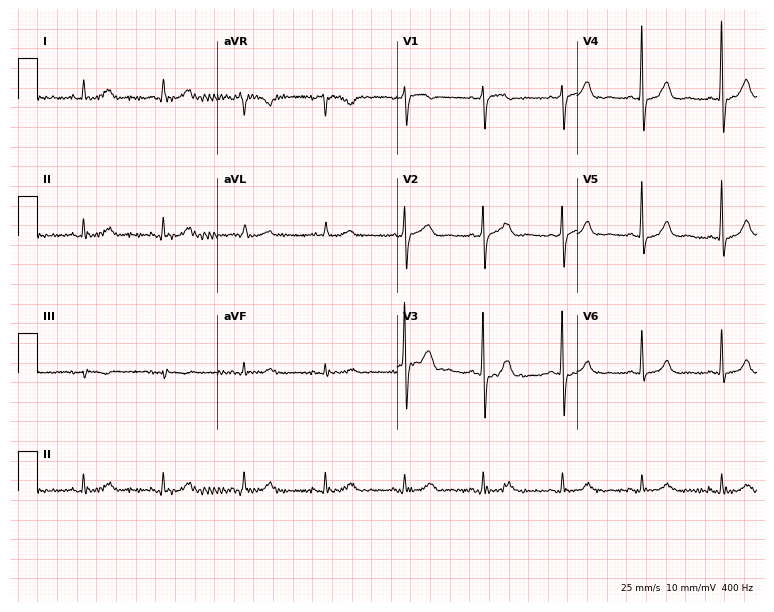
12-lead ECG (7.3-second recording at 400 Hz) from a 78-year-old female. Labelled as a normal ECG.